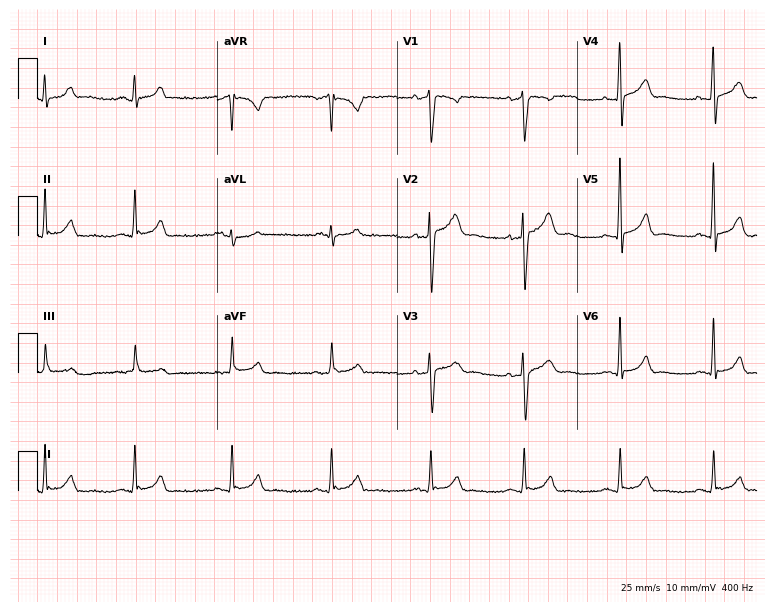
ECG — a 44-year-old male. Labelled as a normal ECG.